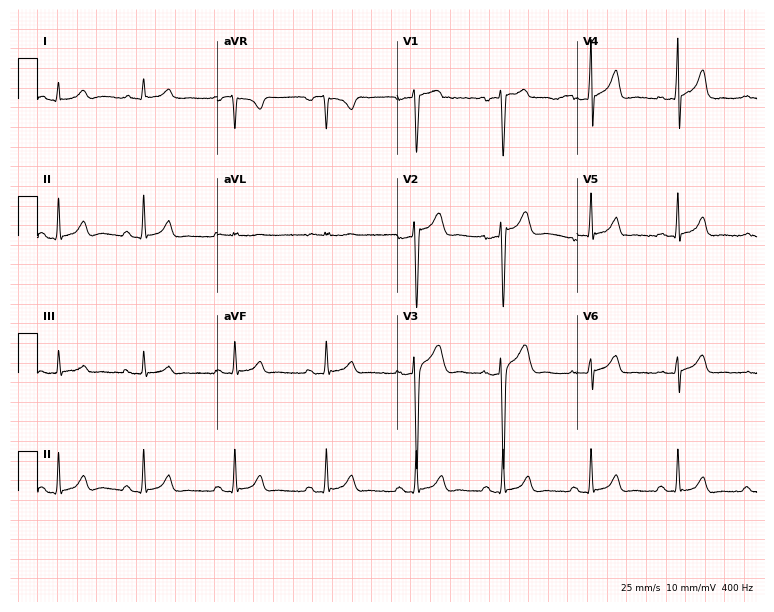
Standard 12-lead ECG recorded from a man, 26 years old. Read as a normal ECG.